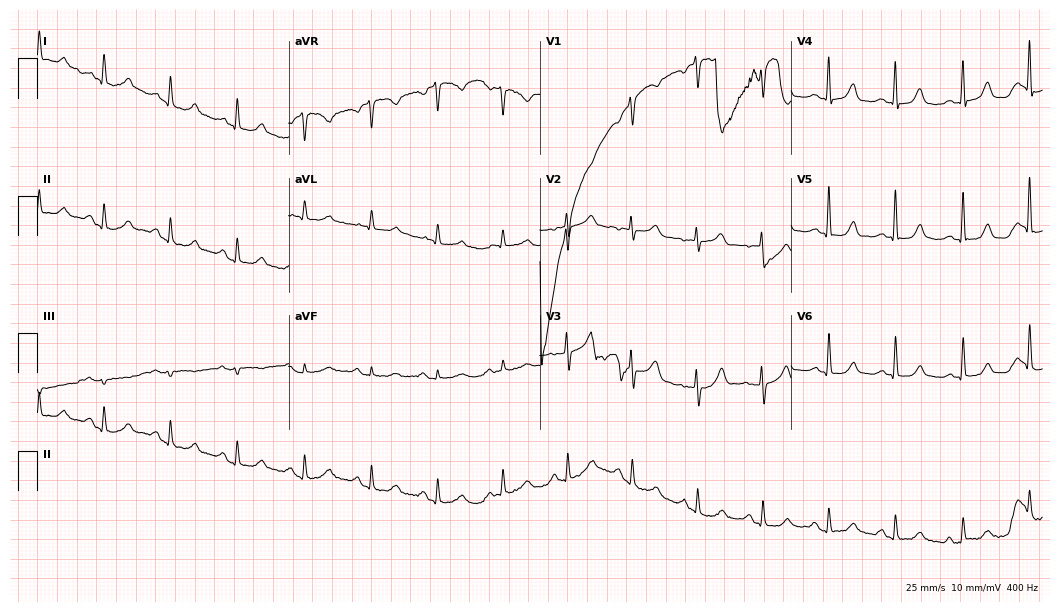
Electrocardiogram (10.2-second recording at 400 Hz), a 63-year-old female patient. Of the six screened findings (first-degree AV block, right bundle branch block, left bundle branch block, sinus bradycardia, atrial fibrillation, sinus tachycardia), none is recorded.